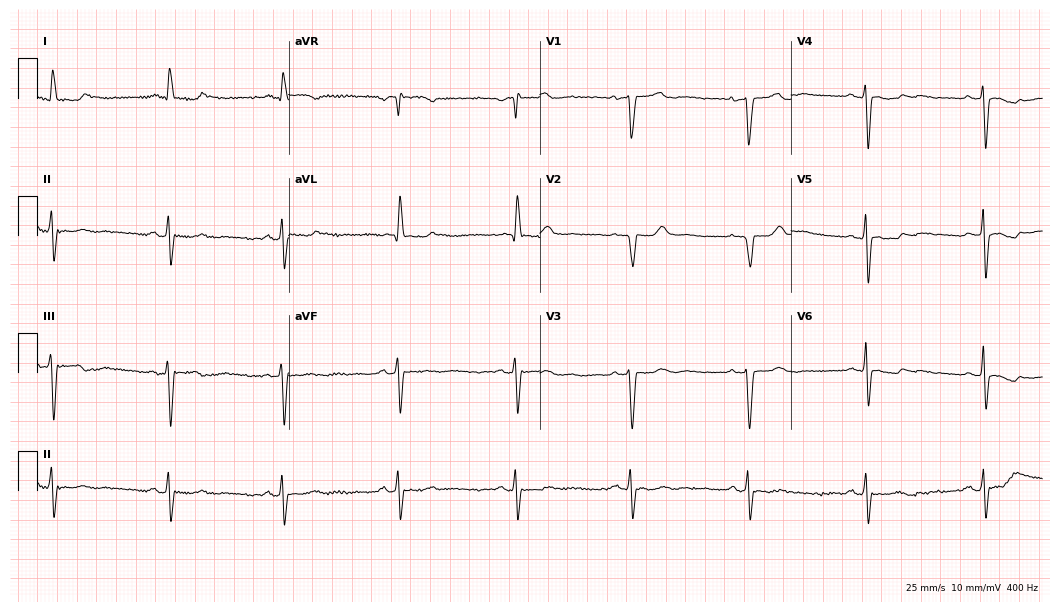
Resting 12-lead electrocardiogram. Patient: a woman, 65 years old. None of these six findings is recorded: first-degree AV block, right bundle branch block, left bundle branch block, sinus bradycardia, atrial fibrillation, sinus tachycardia. Only these six findings were labelled.